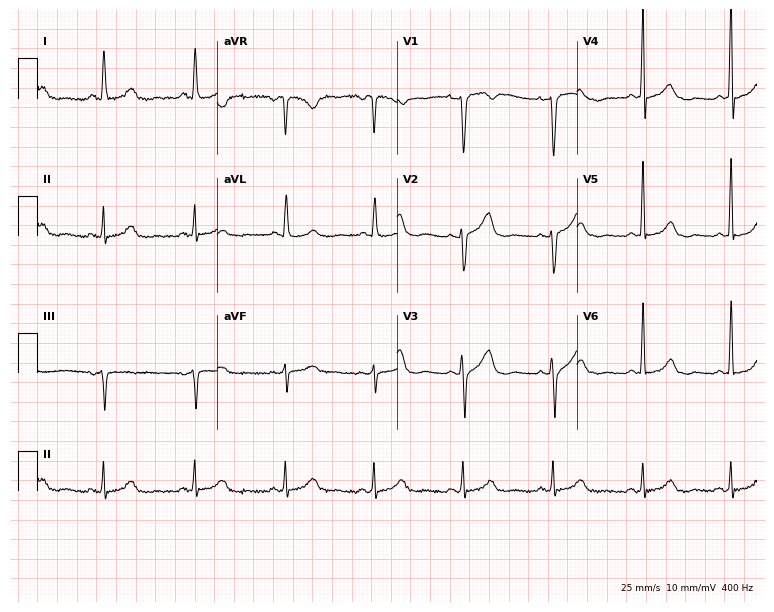
Resting 12-lead electrocardiogram. Patient: a 44-year-old woman. None of these six findings is recorded: first-degree AV block, right bundle branch block, left bundle branch block, sinus bradycardia, atrial fibrillation, sinus tachycardia. Other findings, if any, are not listed.